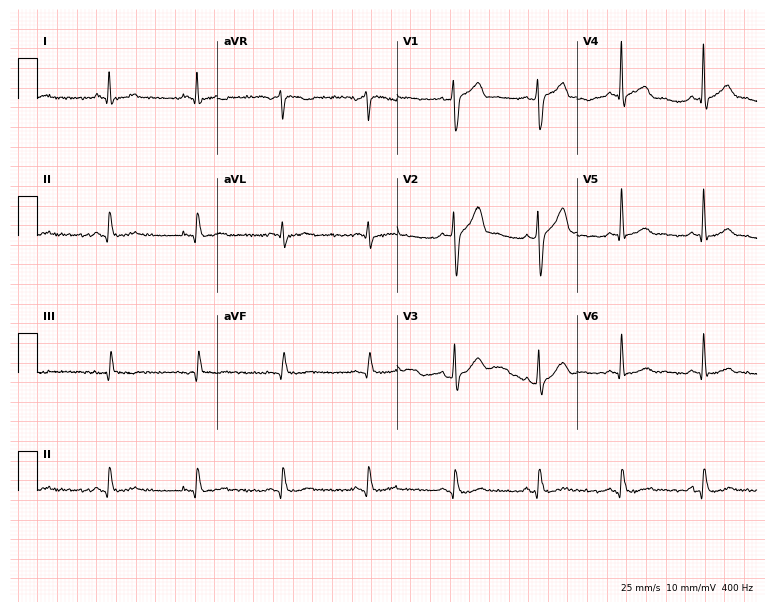
12-lead ECG from a male patient, 31 years old (7.3-second recording at 400 Hz). No first-degree AV block, right bundle branch block (RBBB), left bundle branch block (LBBB), sinus bradycardia, atrial fibrillation (AF) or sinus tachycardia recorded for this tracing.